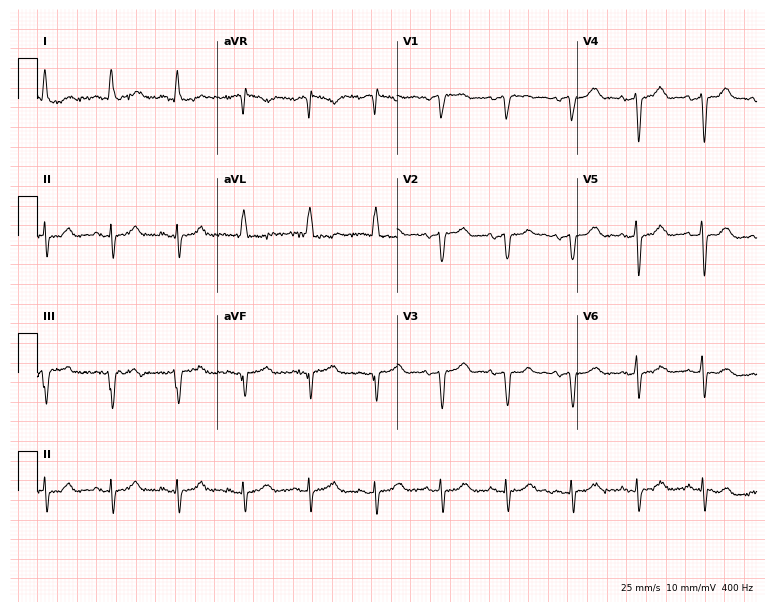
Standard 12-lead ECG recorded from a female, 68 years old (7.3-second recording at 400 Hz). None of these six findings is recorded: first-degree AV block, right bundle branch block, left bundle branch block, sinus bradycardia, atrial fibrillation, sinus tachycardia. Other findings, if any, are not listed.